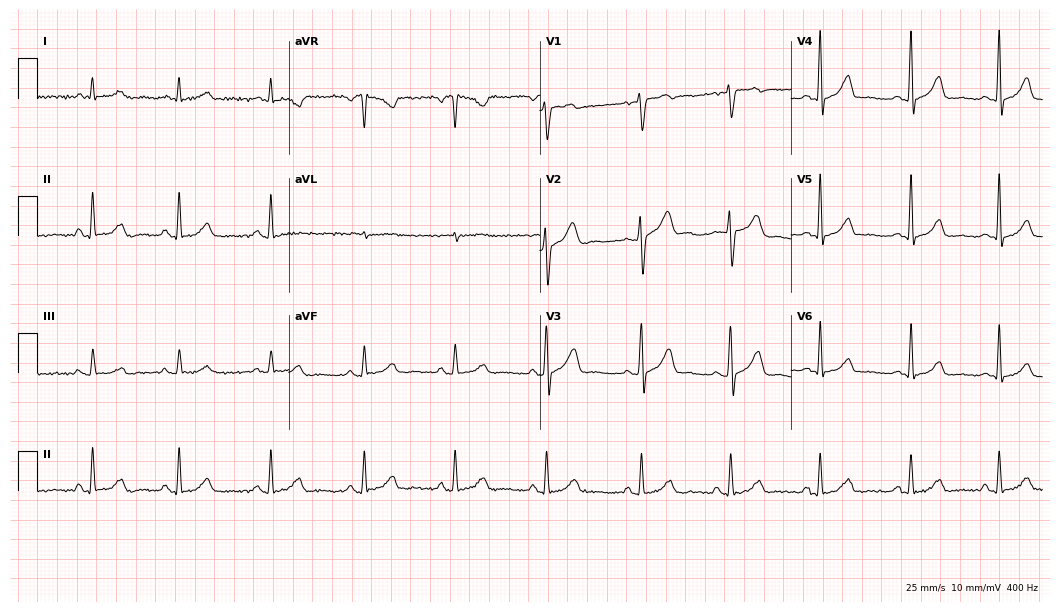
Standard 12-lead ECG recorded from a 50-year-old man. None of these six findings is recorded: first-degree AV block, right bundle branch block, left bundle branch block, sinus bradycardia, atrial fibrillation, sinus tachycardia.